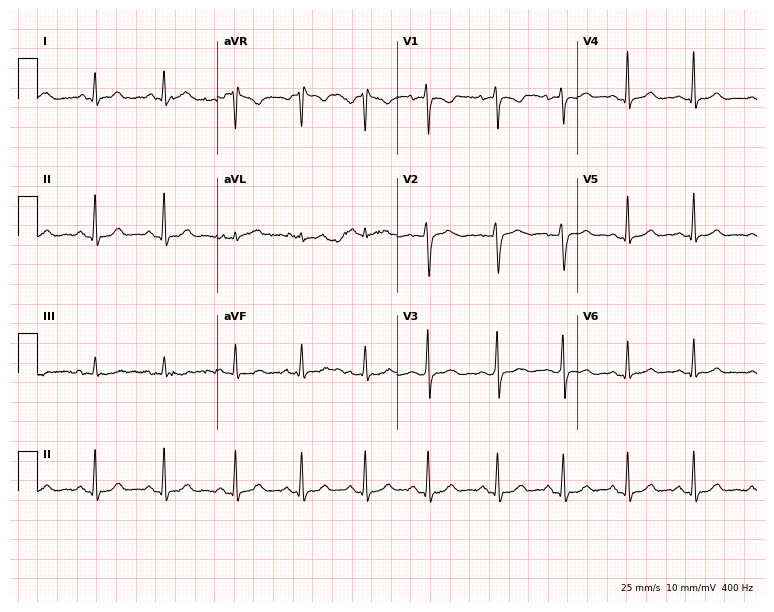
12-lead ECG from a female patient, 27 years old. Labelled as a normal ECG.